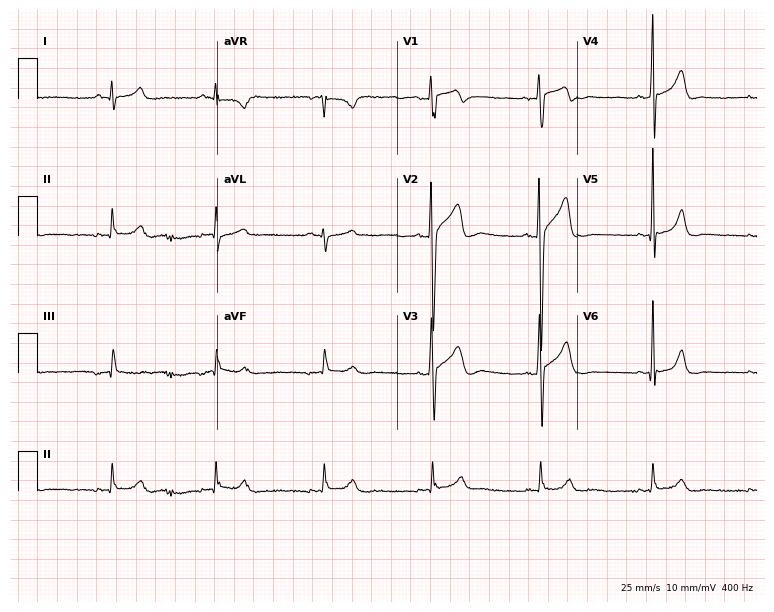
Standard 12-lead ECG recorded from a male, 34 years old. Read as a normal ECG.